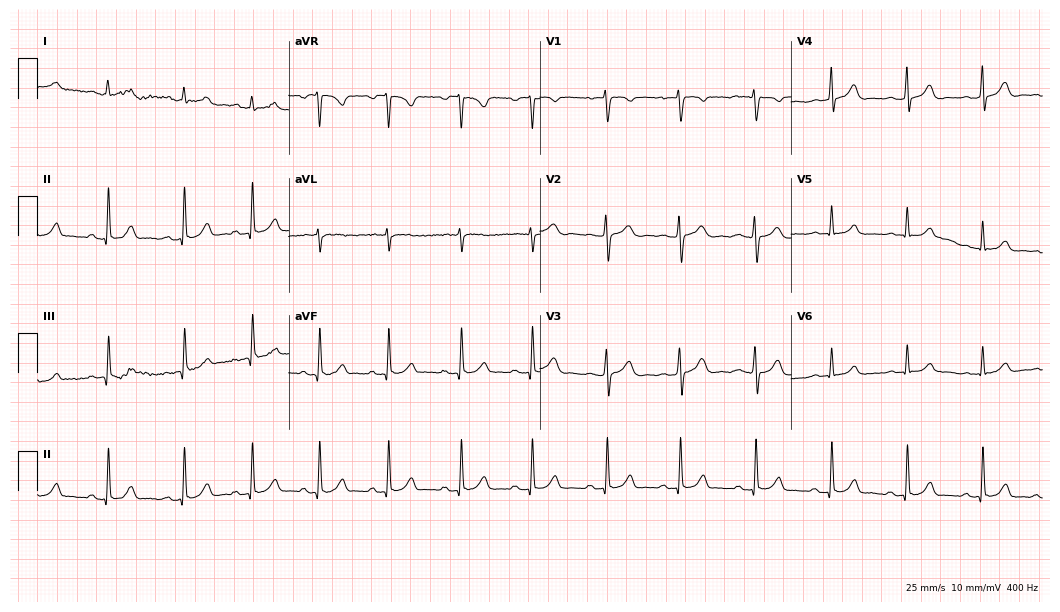
Electrocardiogram (10.2-second recording at 400 Hz), a woman, 18 years old. Overall reading on record: normal ECG.